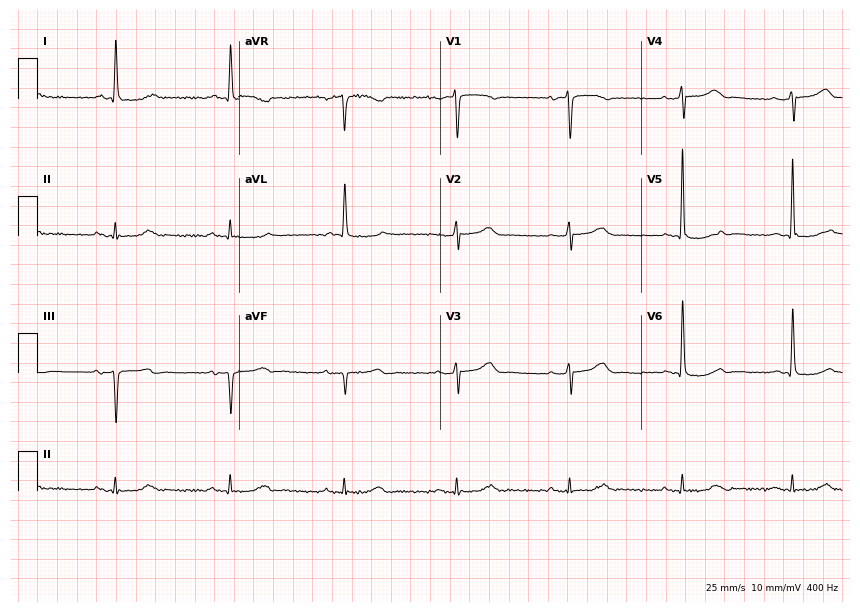
12-lead ECG from a 79-year-old female. Labelled as a normal ECG.